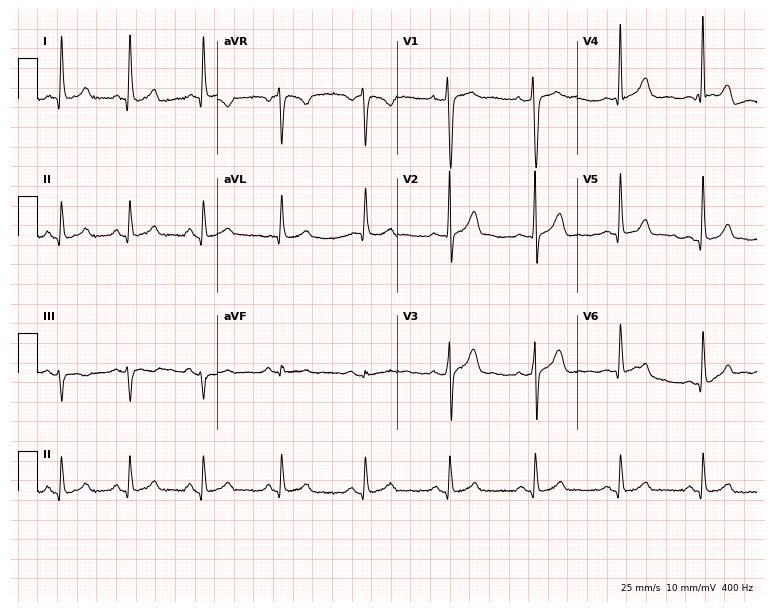
12-lead ECG from a male, 36 years old. Recorded interpretation: within normal limits.